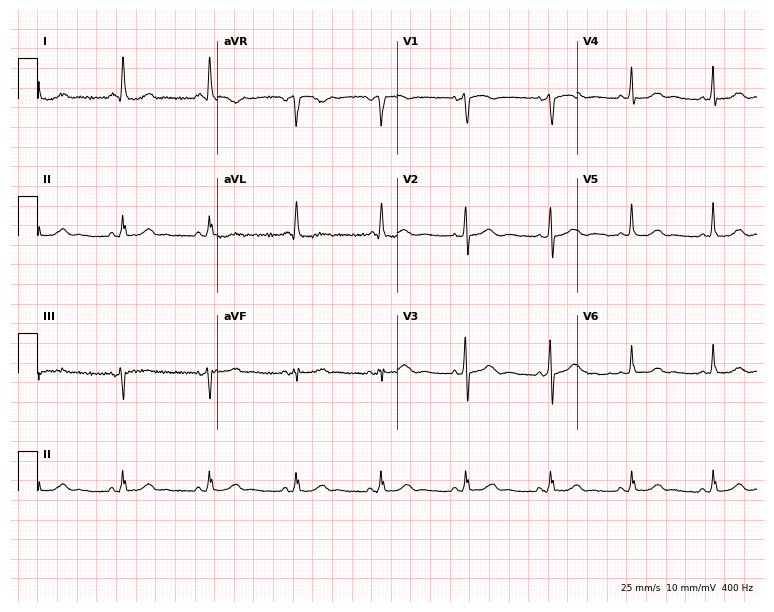
12-lead ECG from a 67-year-old female (7.3-second recording at 400 Hz). No first-degree AV block, right bundle branch block (RBBB), left bundle branch block (LBBB), sinus bradycardia, atrial fibrillation (AF) or sinus tachycardia recorded for this tracing.